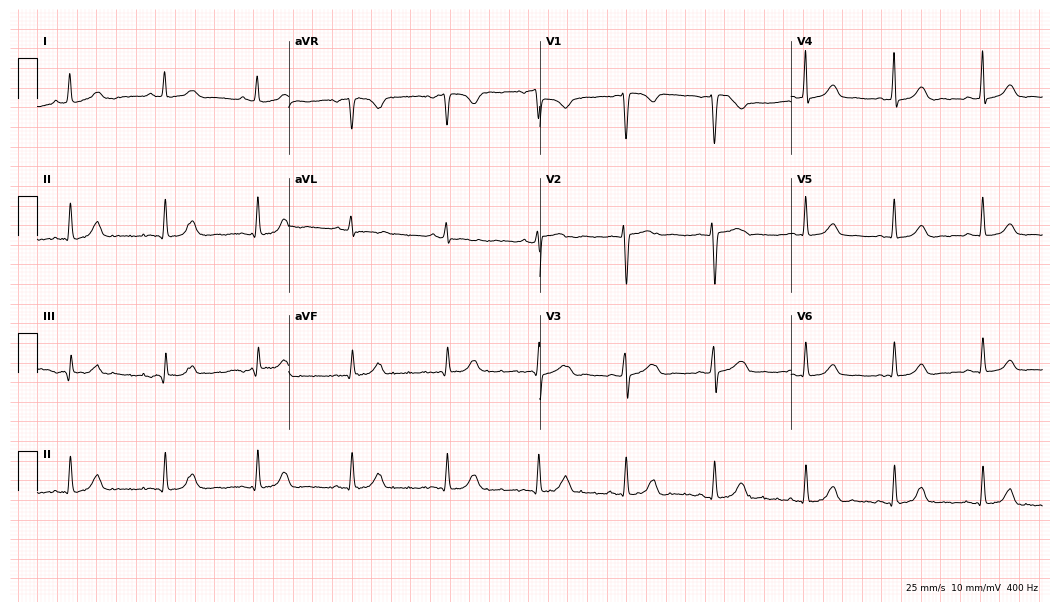
ECG (10.2-second recording at 400 Hz) — a woman, 53 years old. Labelled as a normal ECG.